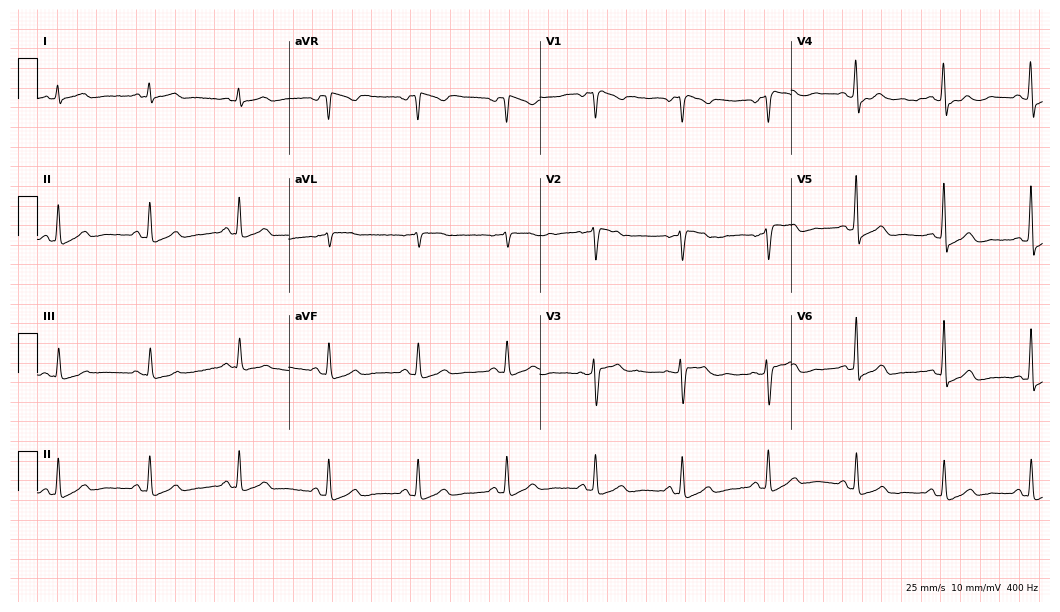
12-lead ECG from a 48-year-old woman (10.2-second recording at 400 Hz). No first-degree AV block, right bundle branch block, left bundle branch block, sinus bradycardia, atrial fibrillation or sinus tachycardia recorded for this tracing. Findings outside these six are not listed.